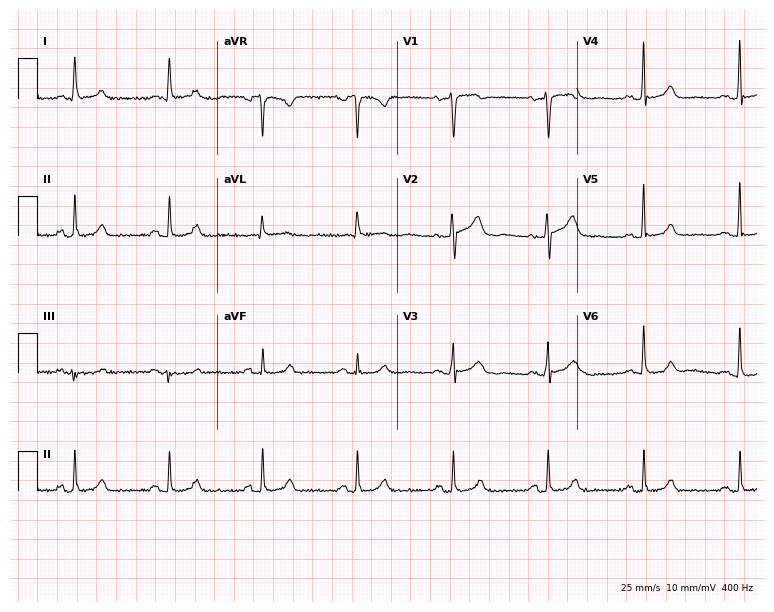
12-lead ECG from a 61-year-old female (7.3-second recording at 400 Hz). Recorded interpretation: within normal limits.